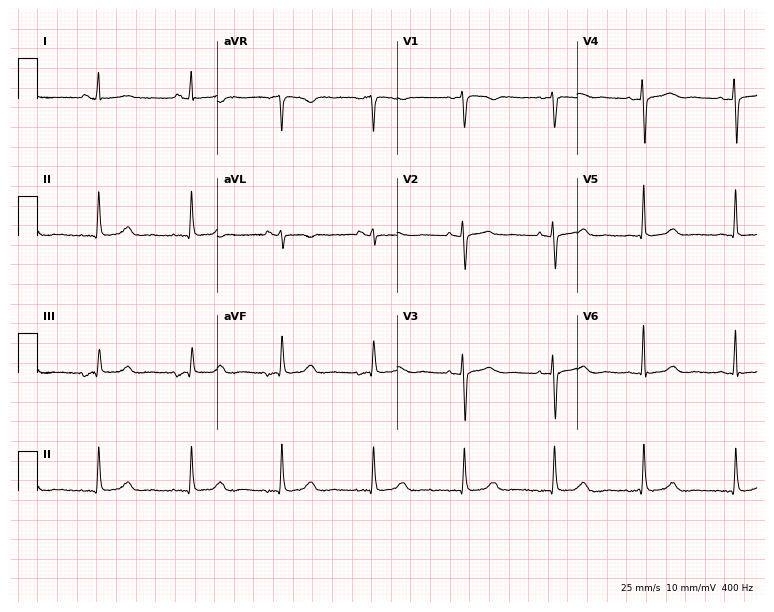
Electrocardiogram (7.3-second recording at 400 Hz), a female patient, 68 years old. Of the six screened findings (first-degree AV block, right bundle branch block, left bundle branch block, sinus bradycardia, atrial fibrillation, sinus tachycardia), none is recorded. Findings outside these six are not listed.